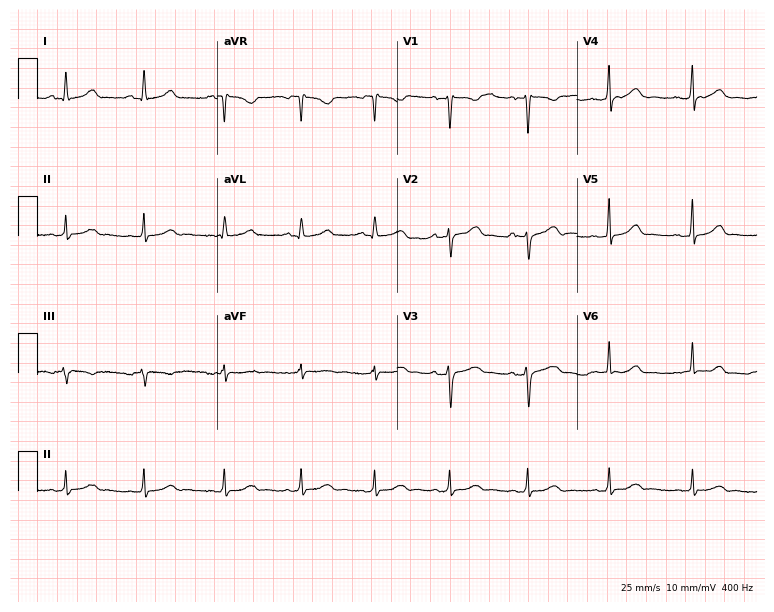
ECG — a female patient, 33 years old. Labelled as a normal ECG.